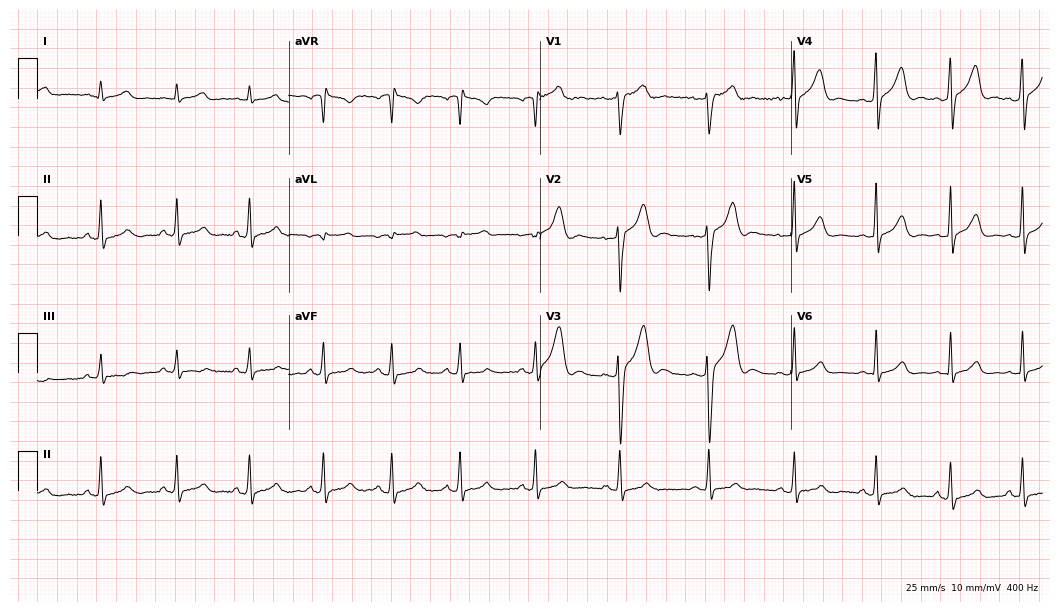
Electrocardiogram, a 29-year-old male patient. Overall reading on record: normal ECG.